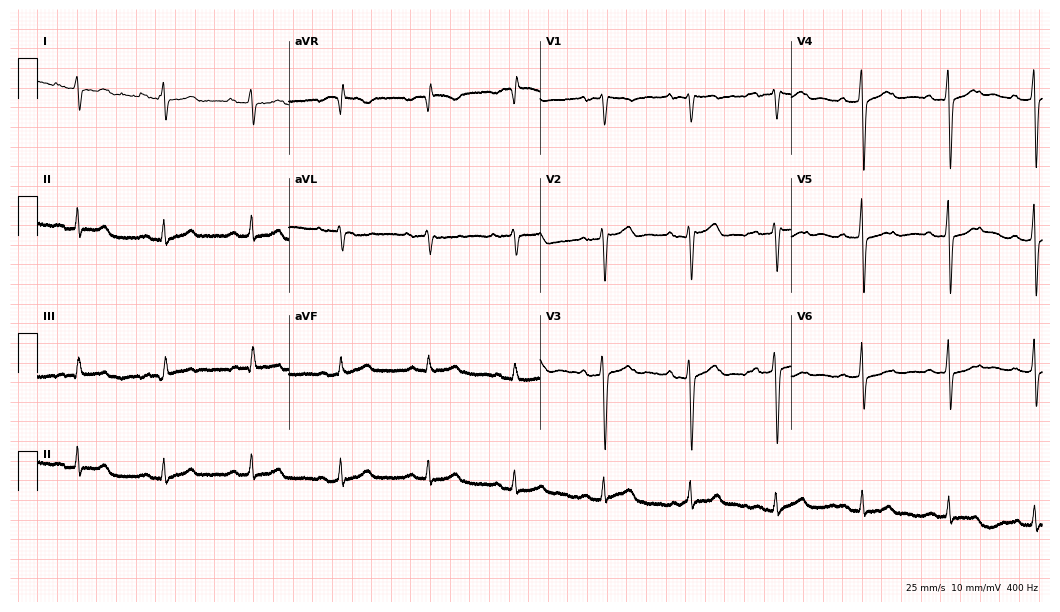
Standard 12-lead ECG recorded from a female patient, 58 years old. None of these six findings is recorded: first-degree AV block, right bundle branch block, left bundle branch block, sinus bradycardia, atrial fibrillation, sinus tachycardia.